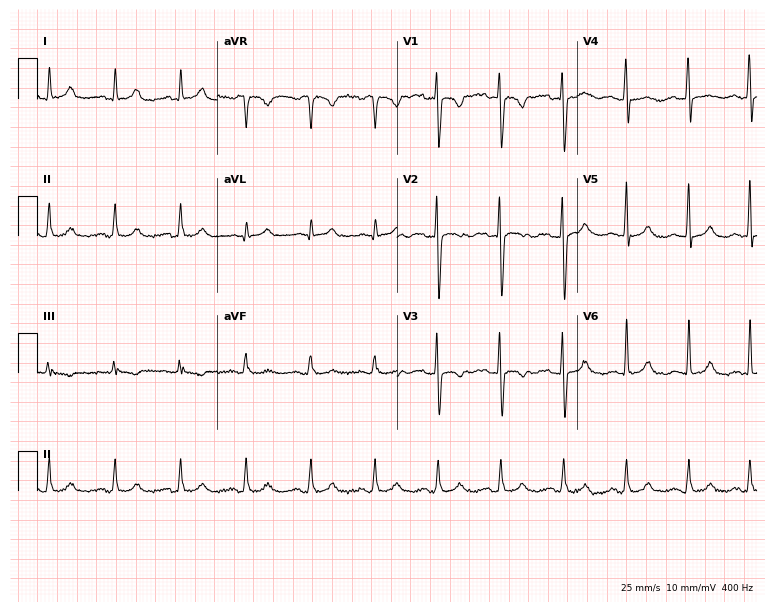
ECG — a 25-year-old female patient. Screened for six findings — first-degree AV block, right bundle branch block, left bundle branch block, sinus bradycardia, atrial fibrillation, sinus tachycardia — none is recorded.